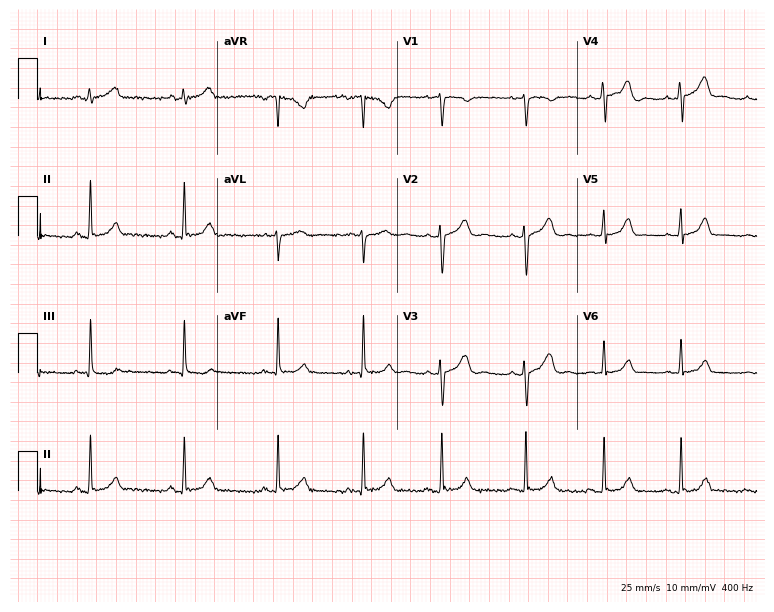
Resting 12-lead electrocardiogram (7.3-second recording at 400 Hz). Patient: an 18-year-old female. None of these six findings is recorded: first-degree AV block, right bundle branch block (RBBB), left bundle branch block (LBBB), sinus bradycardia, atrial fibrillation (AF), sinus tachycardia.